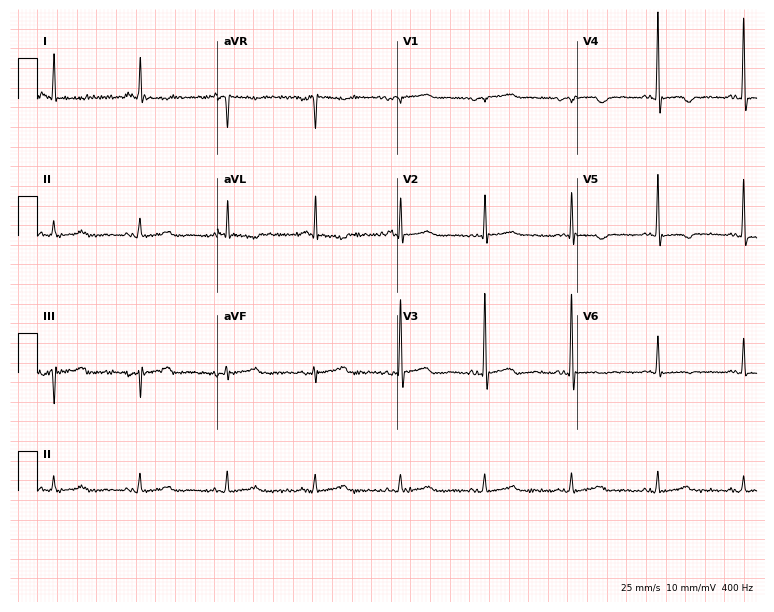
12-lead ECG (7.3-second recording at 400 Hz) from a woman, 78 years old. Screened for six findings — first-degree AV block, right bundle branch block, left bundle branch block, sinus bradycardia, atrial fibrillation, sinus tachycardia — none is recorded. Only these six findings were labelled.